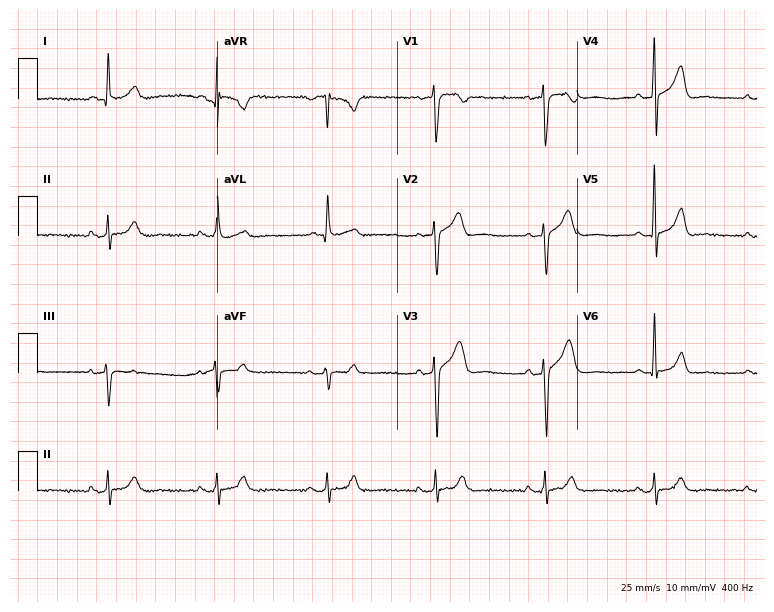
Standard 12-lead ECG recorded from a male, 63 years old (7.3-second recording at 400 Hz). Read as a normal ECG.